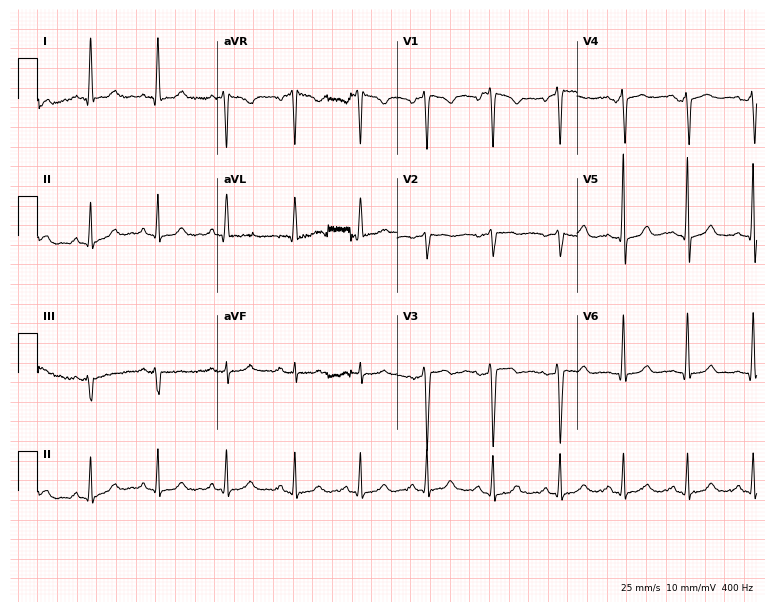
Standard 12-lead ECG recorded from a 31-year-old woman. None of these six findings is recorded: first-degree AV block, right bundle branch block, left bundle branch block, sinus bradycardia, atrial fibrillation, sinus tachycardia. Findings outside these six are not listed.